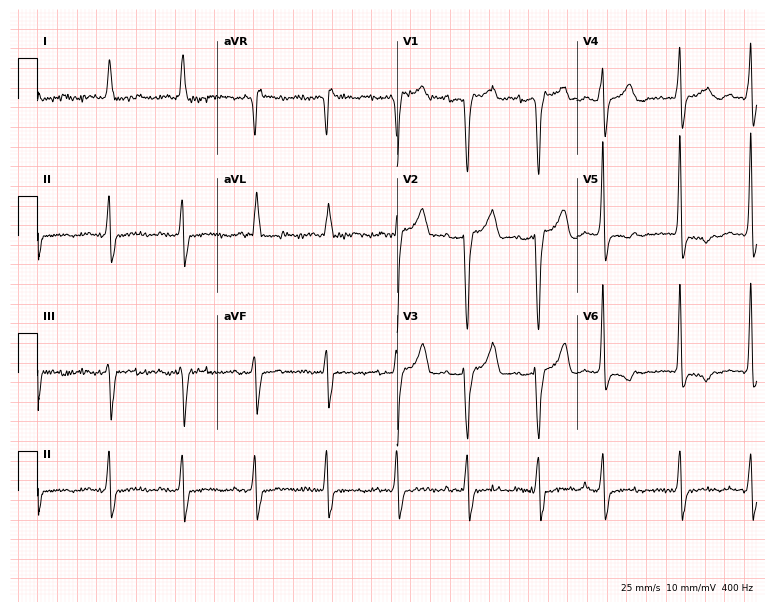
Standard 12-lead ECG recorded from a woman, 61 years old. None of these six findings is recorded: first-degree AV block, right bundle branch block, left bundle branch block, sinus bradycardia, atrial fibrillation, sinus tachycardia. Other findings, if any, are not listed.